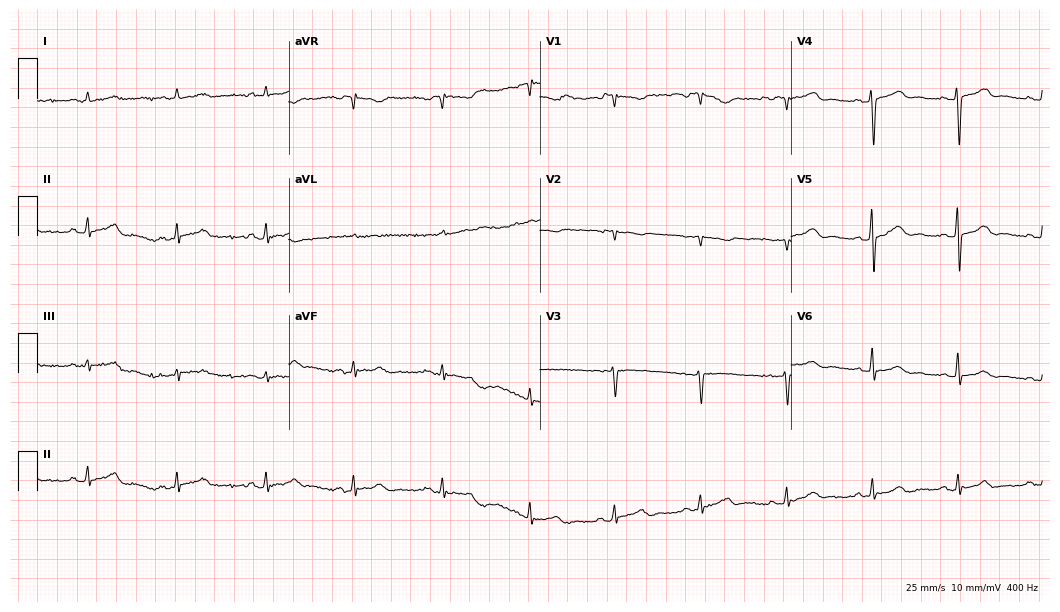
12-lead ECG from a 57-year-old female patient. Screened for six findings — first-degree AV block, right bundle branch block, left bundle branch block, sinus bradycardia, atrial fibrillation, sinus tachycardia — none is recorded.